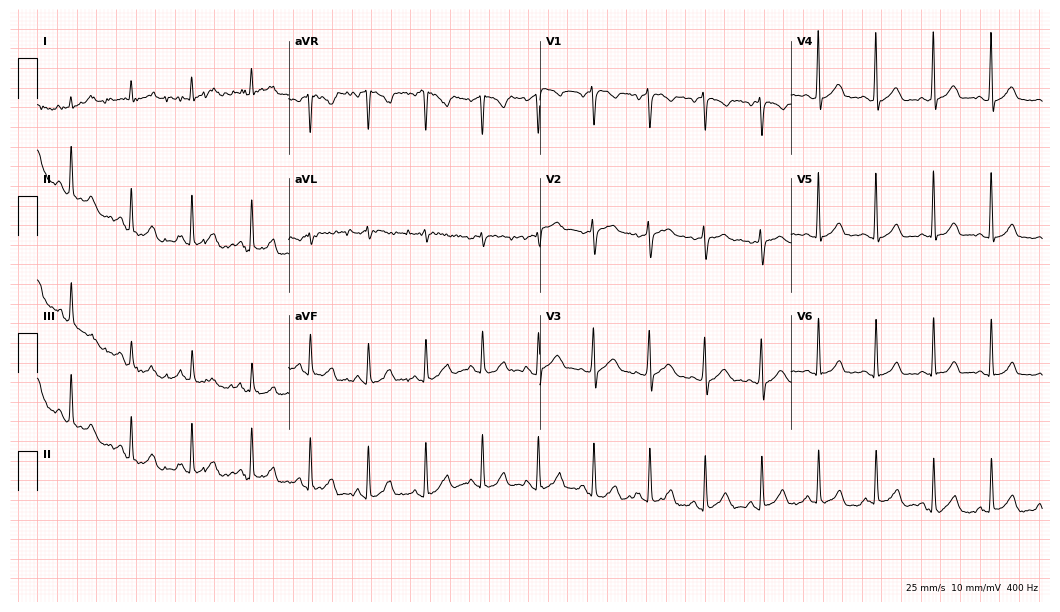
12-lead ECG from a female patient, 49 years old. Recorded interpretation: within normal limits.